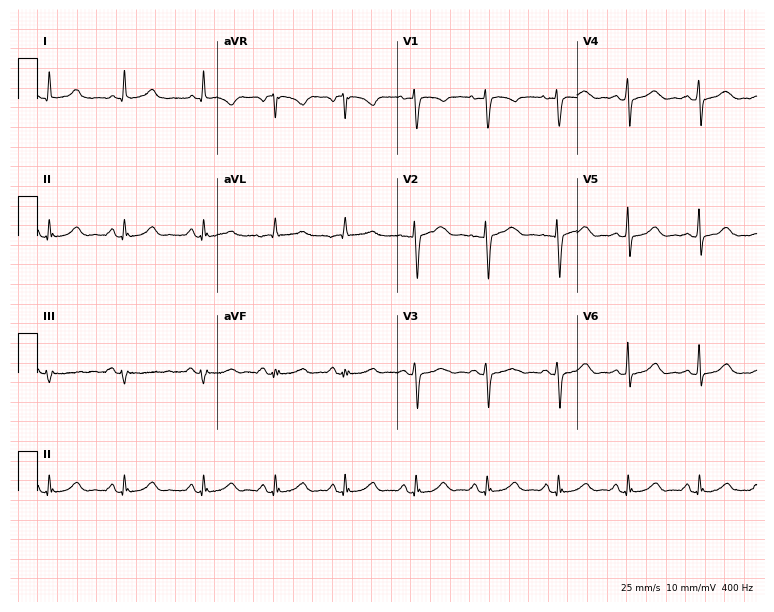
Electrocardiogram (7.3-second recording at 400 Hz), a woman, 44 years old. Of the six screened findings (first-degree AV block, right bundle branch block, left bundle branch block, sinus bradycardia, atrial fibrillation, sinus tachycardia), none is recorded.